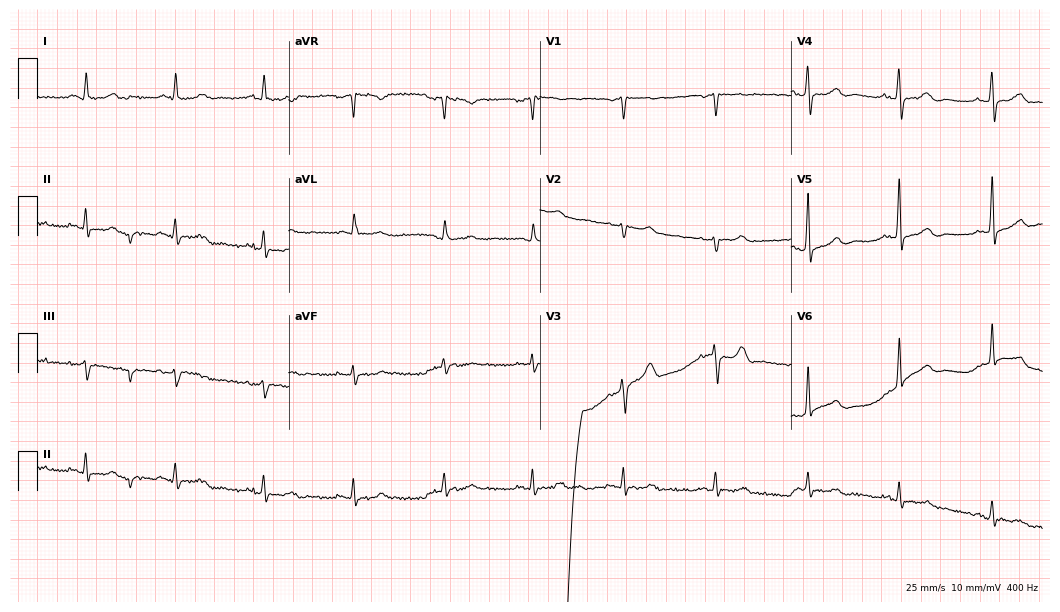
ECG — a 71-year-old male. Screened for six findings — first-degree AV block, right bundle branch block, left bundle branch block, sinus bradycardia, atrial fibrillation, sinus tachycardia — none is recorded.